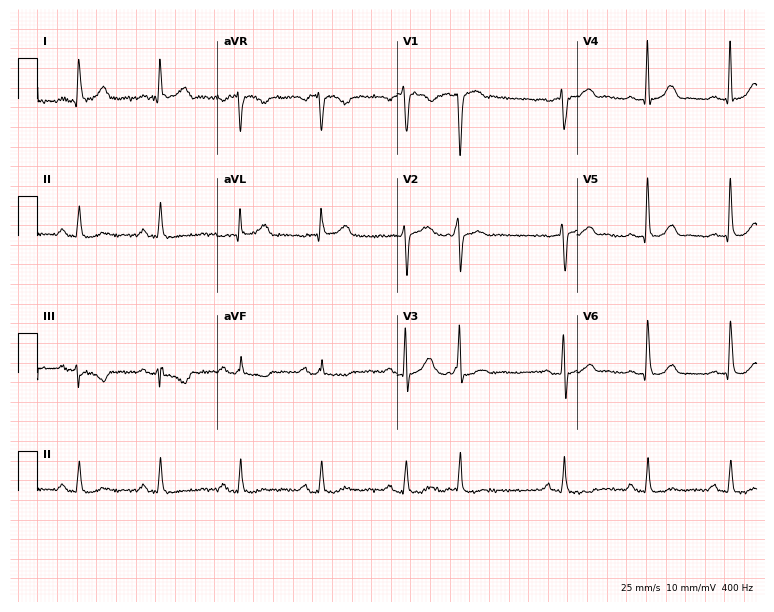
12-lead ECG from a 60-year-old male patient. Recorded interpretation: within normal limits.